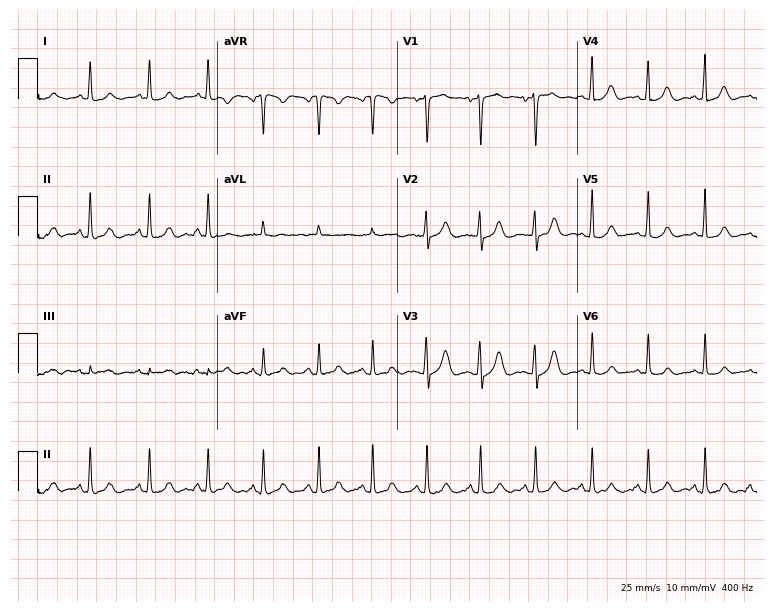
Electrocardiogram (7.3-second recording at 400 Hz), a 30-year-old female. Interpretation includes sinus tachycardia (a sinus rate of 100 beats per minute or more).